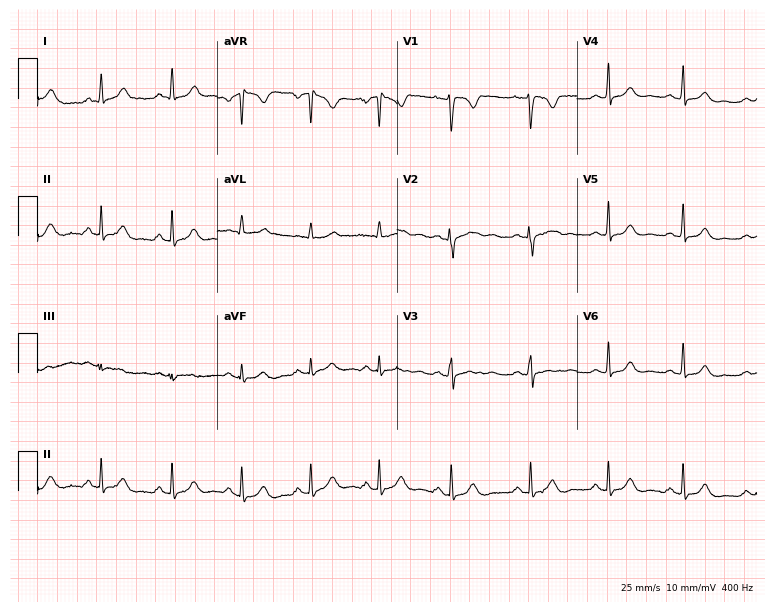
12-lead ECG from a woman, 27 years old. Labelled as a normal ECG.